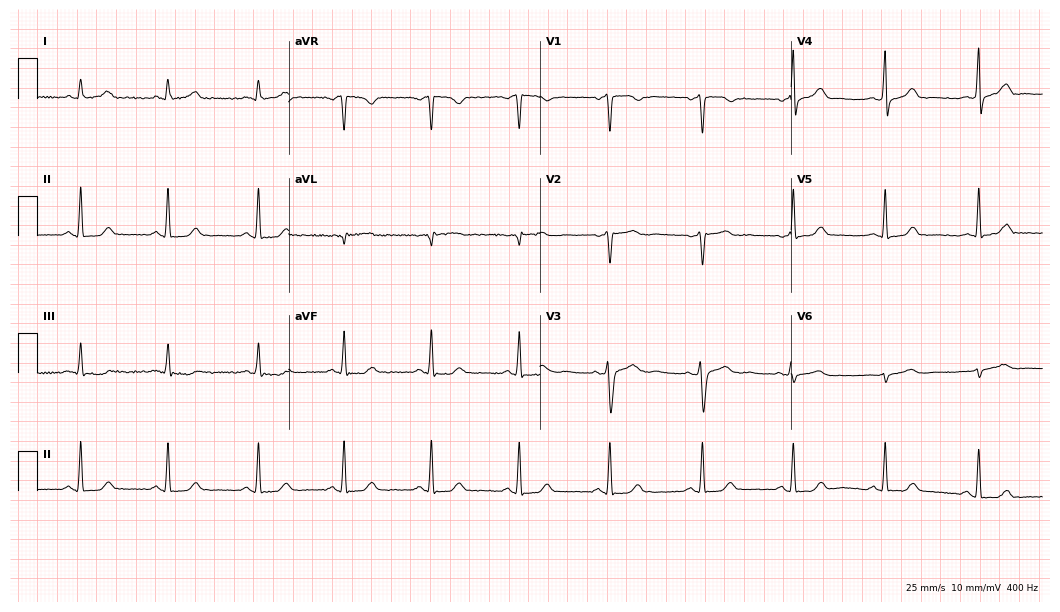
Resting 12-lead electrocardiogram (10.2-second recording at 400 Hz). Patient: a female, 31 years old. Read as a normal ECG.